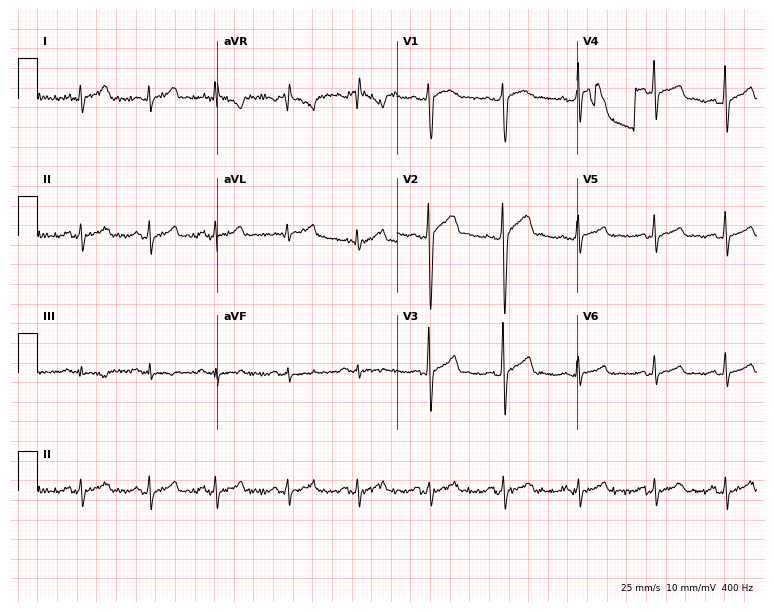
Resting 12-lead electrocardiogram. Patient: a 30-year-old male. Read as a normal ECG.